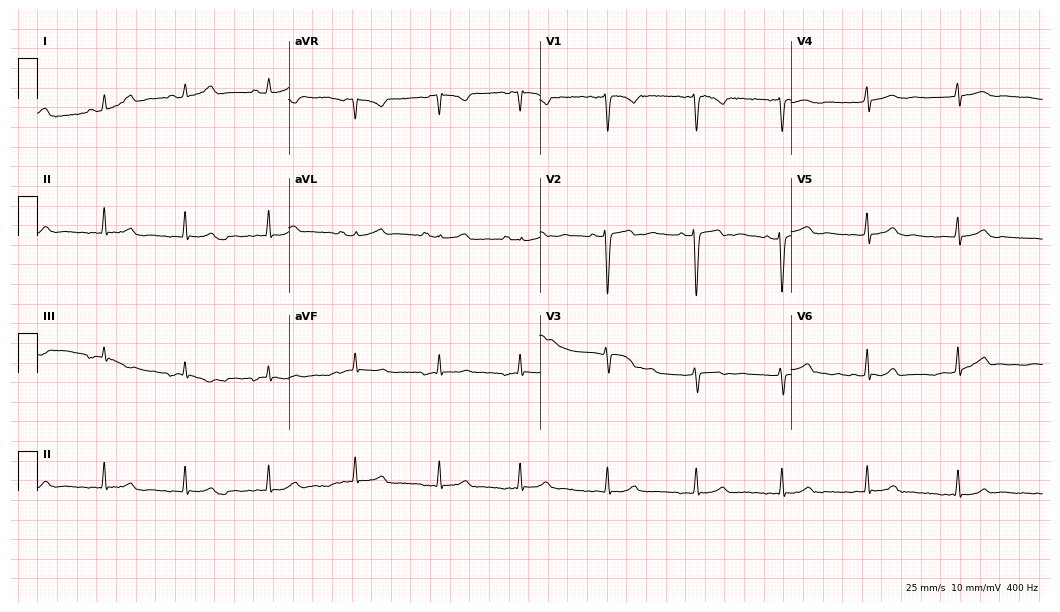
12-lead ECG (10.2-second recording at 400 Hz) from a woman, 24 years old. Labelled as a normal ECG.